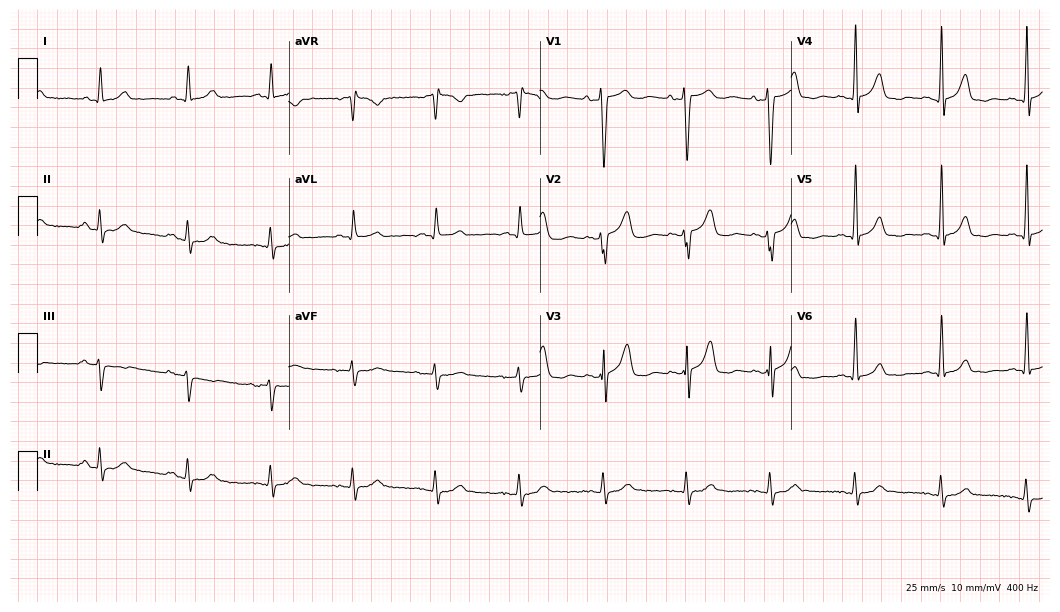
Resting 12-lead electrocardiogram. Patient: a male, 48 years old. None of these six findings is recorded: first-degree AV block, right bundle branch block, left bundle branch block, sinus bradycardia, atrial fibrillation, sinus tachycardia. Only these six findings were labelled.